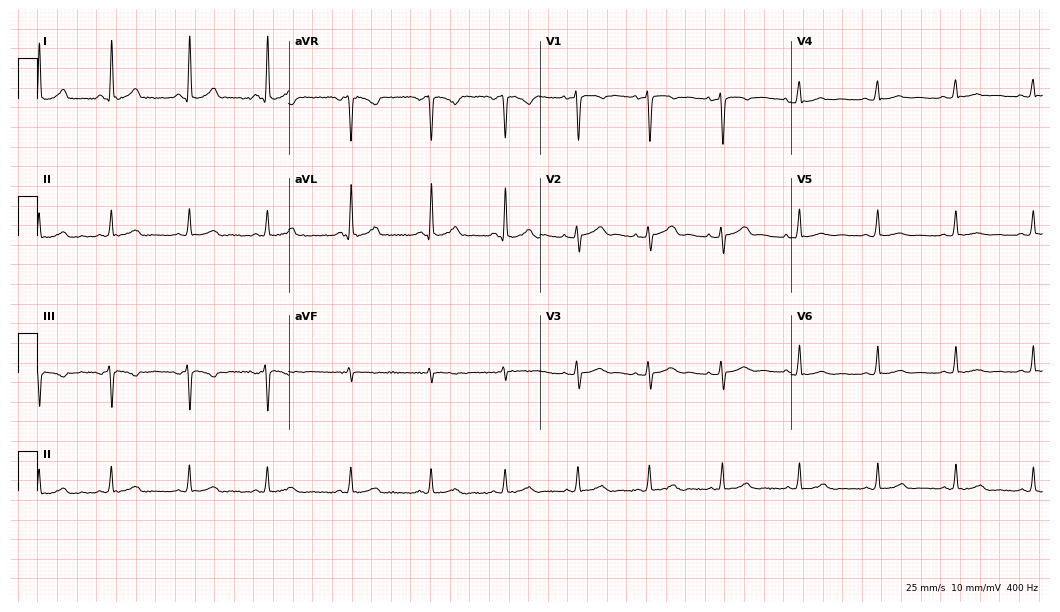
12-lead ECG from a 24-year-old female patient. Screened for six findings — first-degree AV block, right bundle branch block, left bundle branch block, sinus bradycardia, atrial fibrillation, sinus tachycardia — none is recorded.